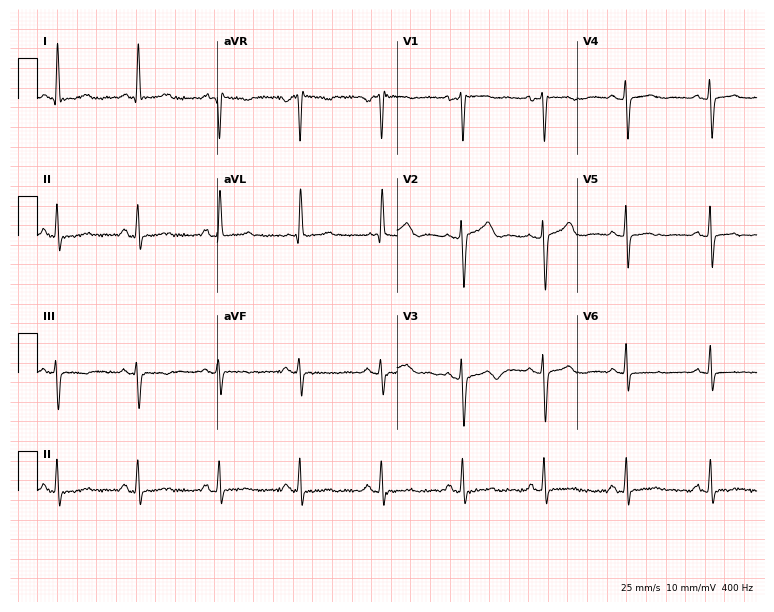
ECG — a female patient, 68 years old. Screened for six findings — first-degree AV block, right bundle branch block (RBBB), left bundle branch block (LBBB), sinus bradycardia, atrial fibrillation (AF), sinus tachycardia — none is recorded.